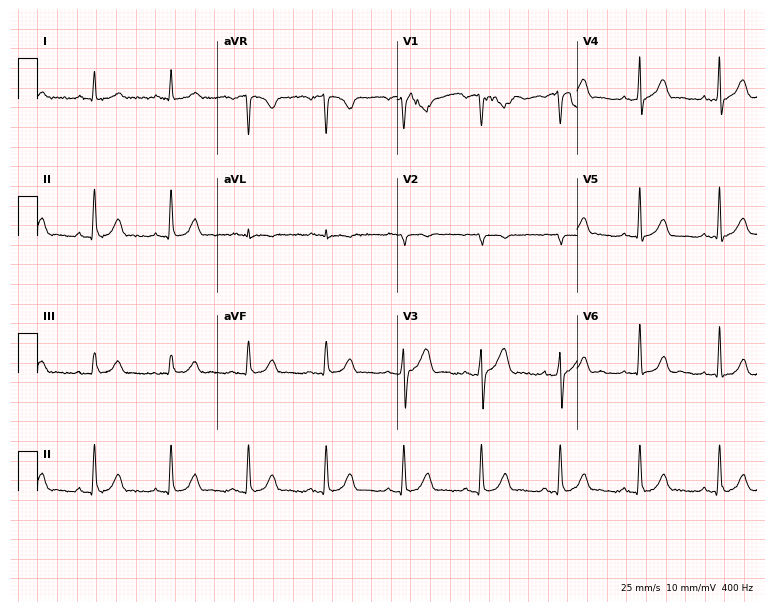
ECG — a male patient, 50 years old. Screened for six findings — first-degree AV block, right bundle branch block (RBBB), left bundle branch block (LBBB), sinus bradycardia, atrial fibrillation (AF), sinus tachycardia — none is recorded. Findings outside these six are not listed.